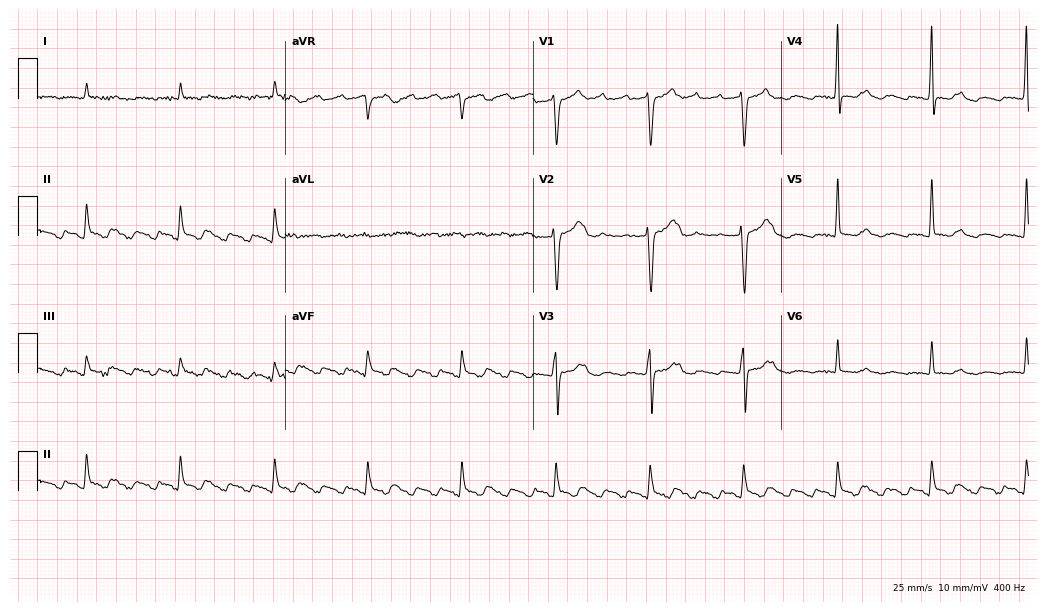
ECG — a male patient, 70 years old. Screened for six findings — first-degree AV block, right bundle branch block, left bundle branch block, sinus bradycardia, atrial fibrillation, sinus tachycardia — none is recorded.